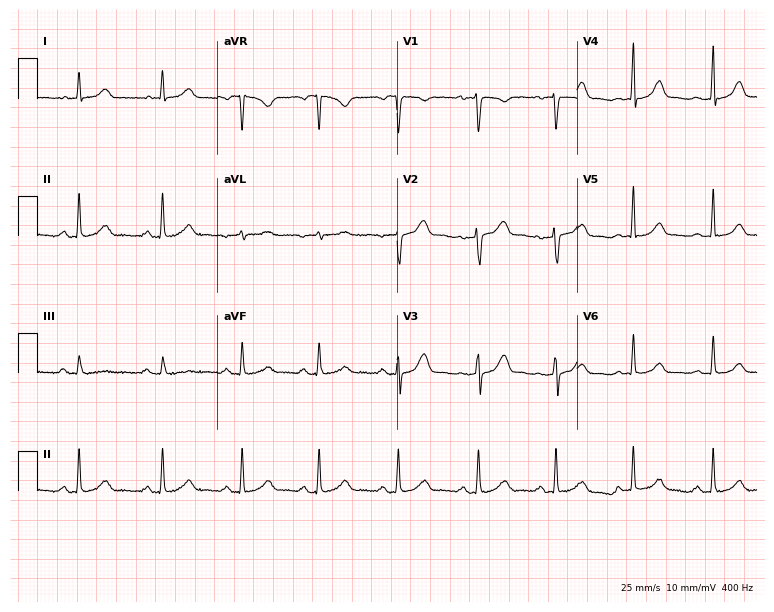
12-lead ECG (7.3-second recording at 400 Hz) from a female, 33 years old. Labelled as a normal ECG.